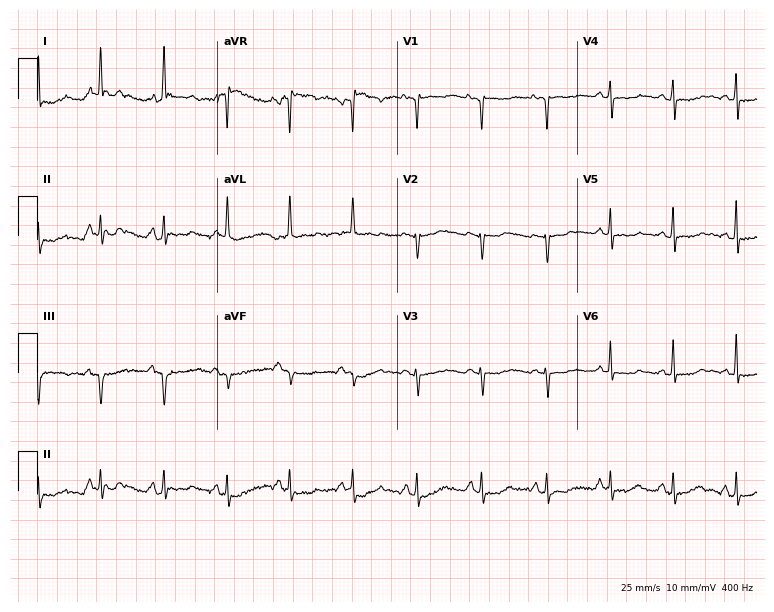
ECG (7.3-second recording at 400 Hz) — a woman, 82 years old. Screened for six findings — first-degree AV block, right bundle branch block, left bundle branch block, sinus bradycardia, atrial fibrillation, sinus tachycardia — none is recorded. Findings outside these six are not listed.